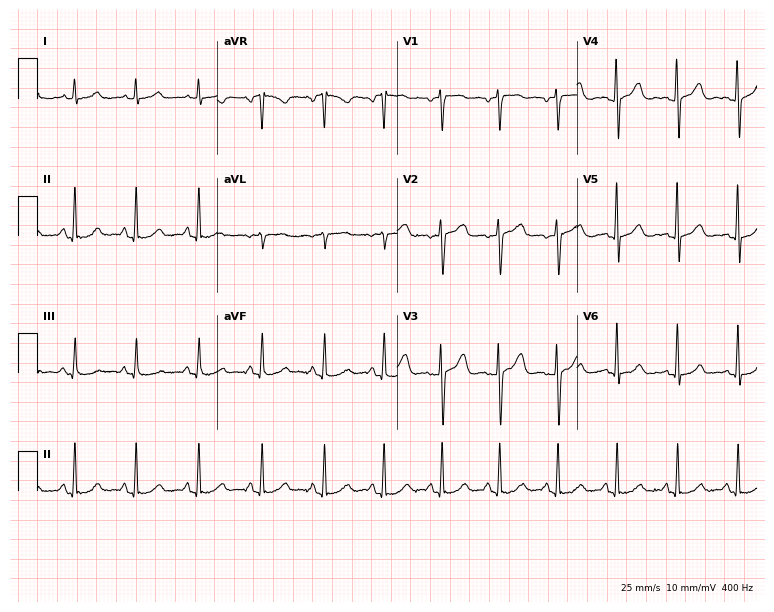
ECG (7.3-second recording at 400 Hz) — a 50-year-old female patient. Screened for six findings — first-degree AV block, right bundle branch block (RBBB), left bundle branch block (LBBB), sinus bradycardia, atrial fibrillation (AF), sinus tachycardia — none is recorded. Only these six findings were labelled.